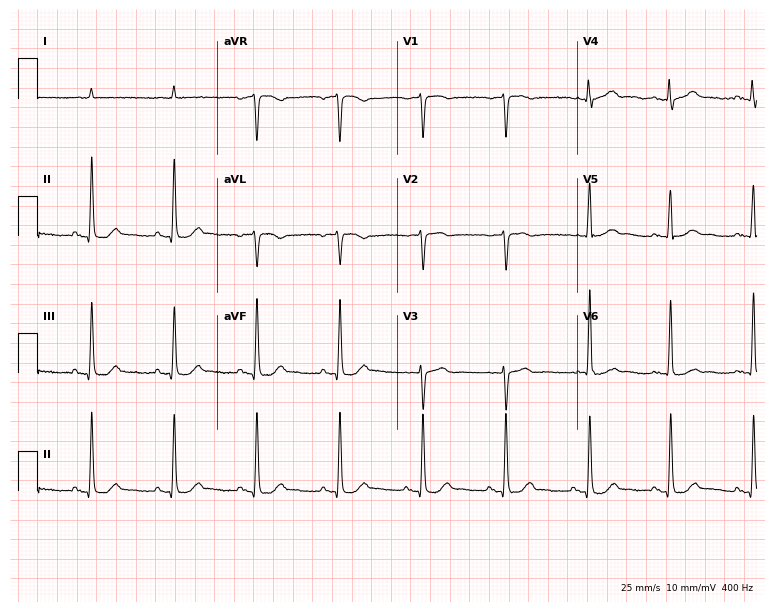
ECG (7.3-second recording at 400 Hz) — a male, 82 years old. Screened for six findings — first-degree AV block, right bundle branch block, left bundle branch block, sinus bradycardia, atrial fibrillation, sinus tachycardia — none is recorded. Other findings, if any, are not listed.